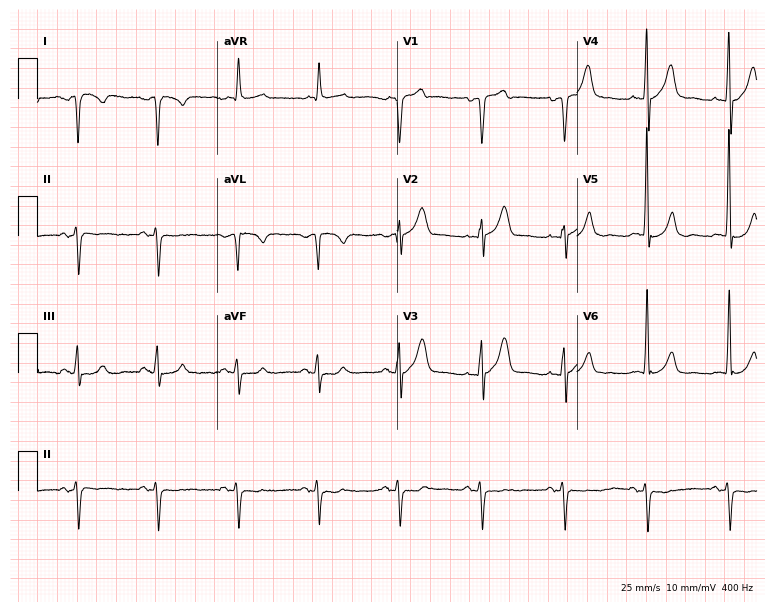
Resting 12-lead electrocardiogram. Patient: a 73-year-old male. None of these six findings is recorded: first-degree AV block, right bundle branch block, left bundle branch block, sinus bradycardia, atrial fibrillation, sinus tachycardia. Only these six findings were labelled.